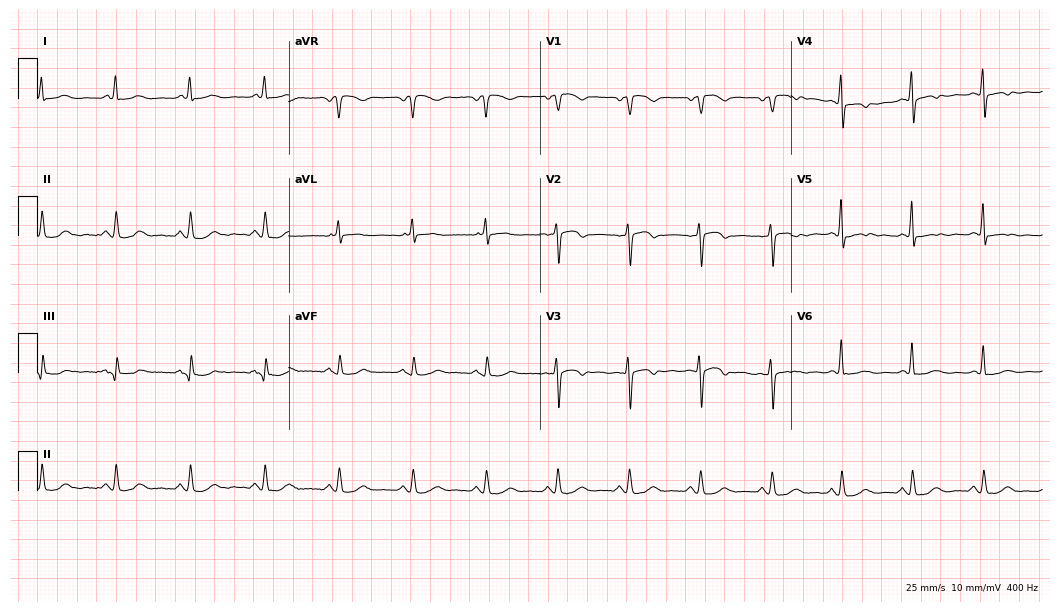
Resting 12-lead electrocardiogram. Patient: a 57-year-old female. Read as a normal ECG.